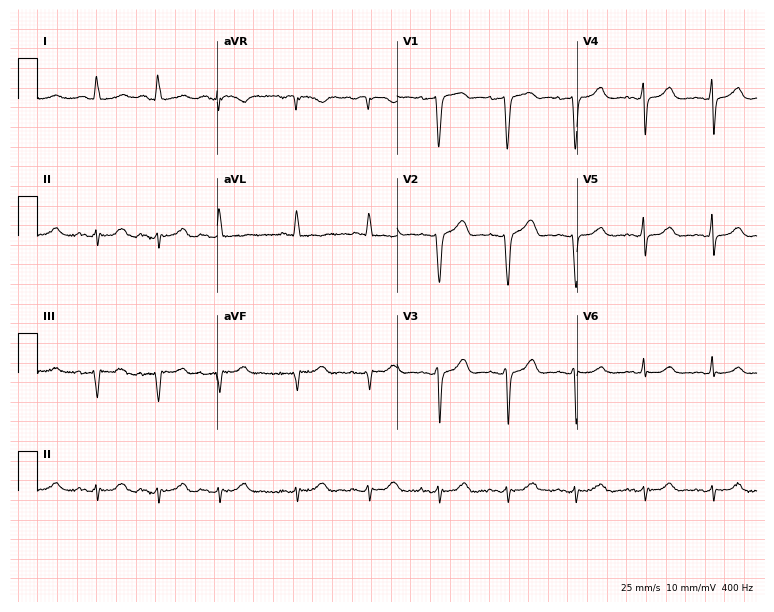
Electrocardiogram (7.3-second recording at 400 Hz), a female, 54 years old. Of the six screened findings (first-degree AV block, right bundle branch block, left bundle branch block, sinus bradycardia, atrial fibrillation, sinus tachycardia), none is recorded.